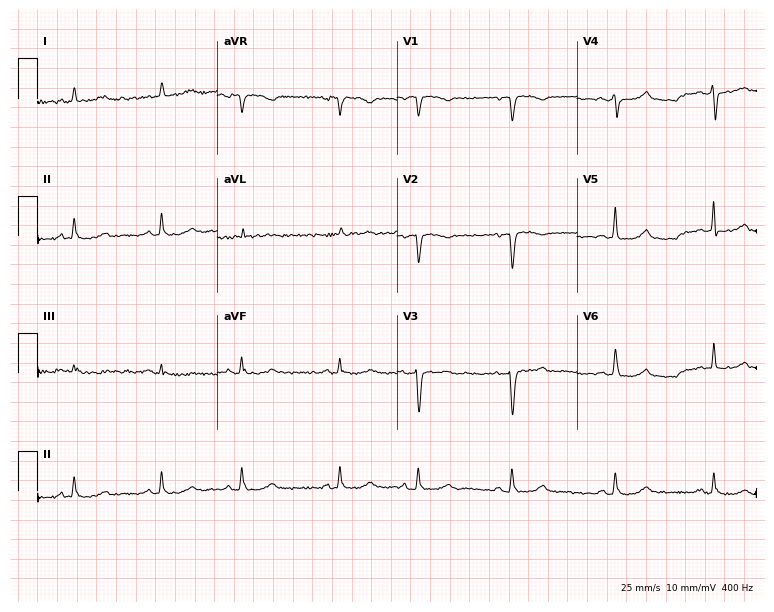
12-lead ECG from a 64-year-old female patient (7.3-second recording at 400 Hz). No first-degree AV block, right bundle branch block, left bundle branch block, sinus bradycardia, atrial fibrillation or sinus tachycardia recorded for this tracing.